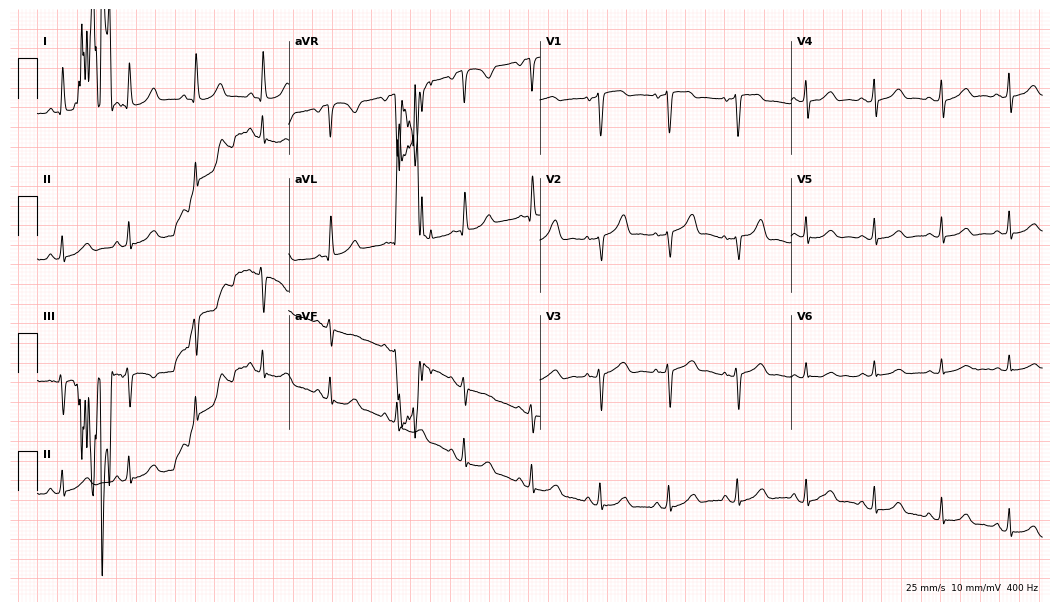
Resting 12-lead electrocardiogram (10.2-second recording at 400 Hz). Patient: a 65-year-old female. None of these six findings is recorded: first-degree AV block, right bundle branch block (RBBB), left bundle branch block (LBBB), sinus bradycardia, atrial fibrillation (AF), sinus tachycardia. Only these six findings were labelled.